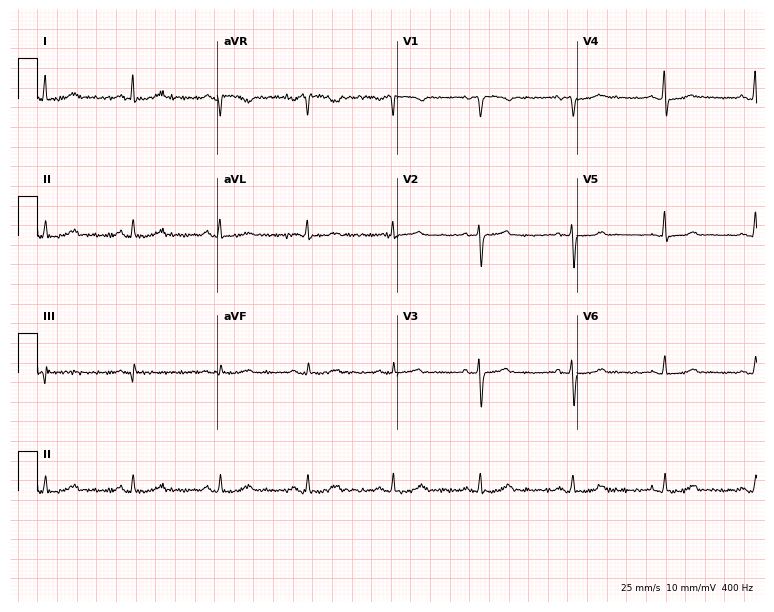
12-lead ECG from a female patient, 41 years old. Labelled as a normal ECG.